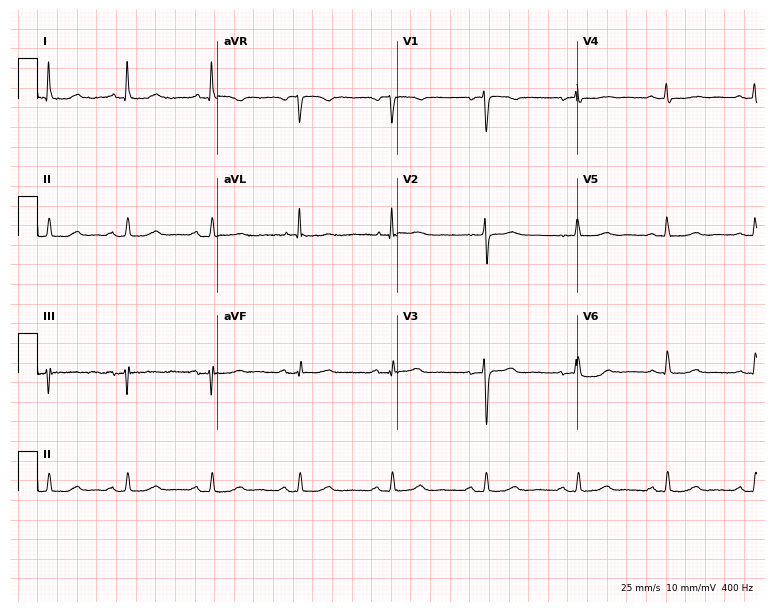
Standard 12-lead ECG recorded from a 60-year-old woman. Read as a normal ECG.